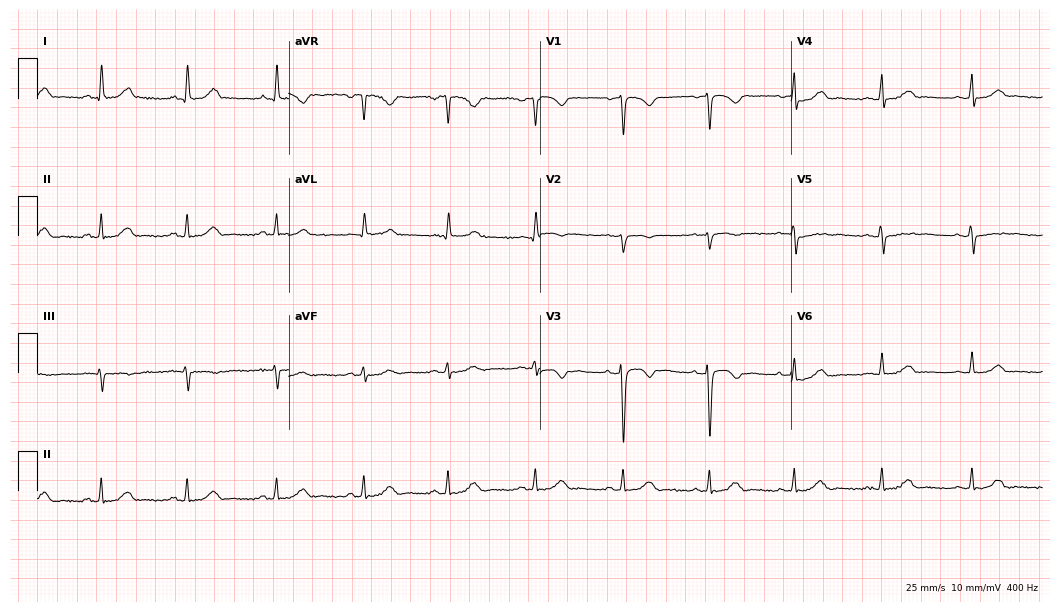
12-lead ECG from a 41-year-old female patient. Screened for six findings — first-degree AV block, right bundle branch block, left bundle branch block, sinus bradycardia, atrial fibrillation, sinus tachycardia — none is recorded.